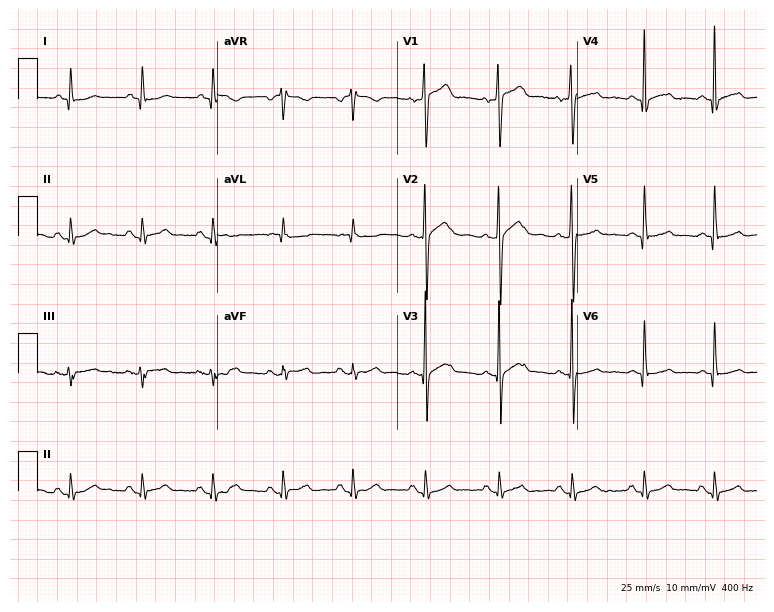
12-lead ECG from a 49-year-old man. No first-degree AV block, right bundle branch block, left bundle branch block, sinus bradycardia, atrial fibrillation or sinus tachycardia recorded for this tracing. Findings outside these six are not listed.